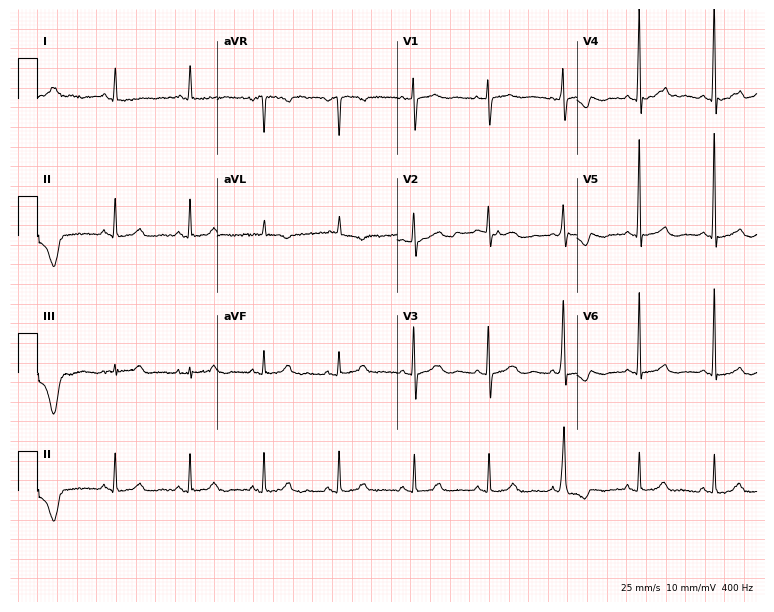
ECG (7.3-second recording at 400 Hz) — a 69-year-old female patient. Labelled as a normal ECG.